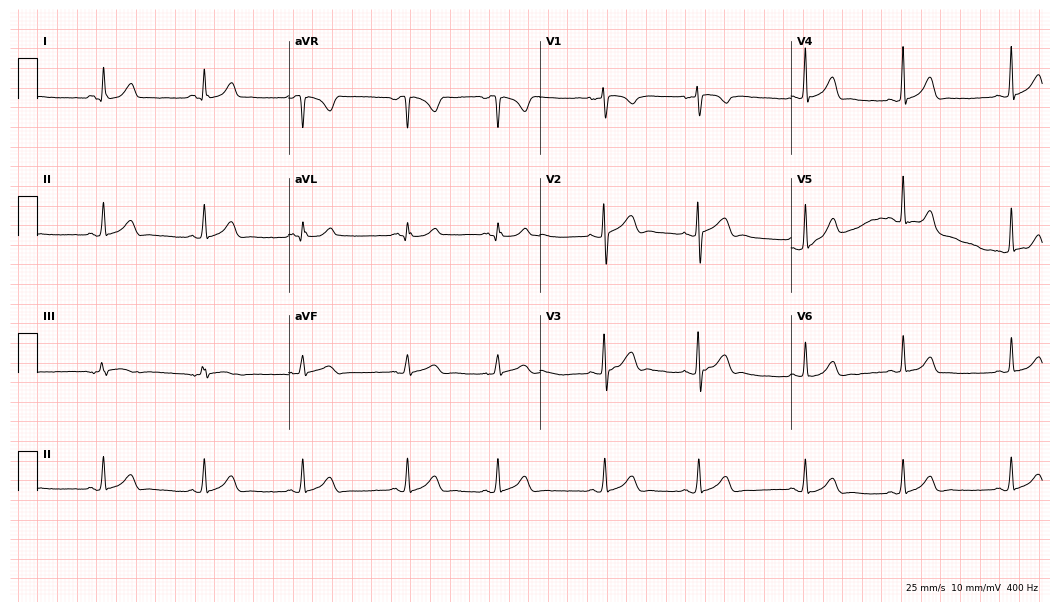
Electrocardiogram (10.2-second recording at 400 Hz), a 22-year-old woman. Overall reading on record: normal ECG.